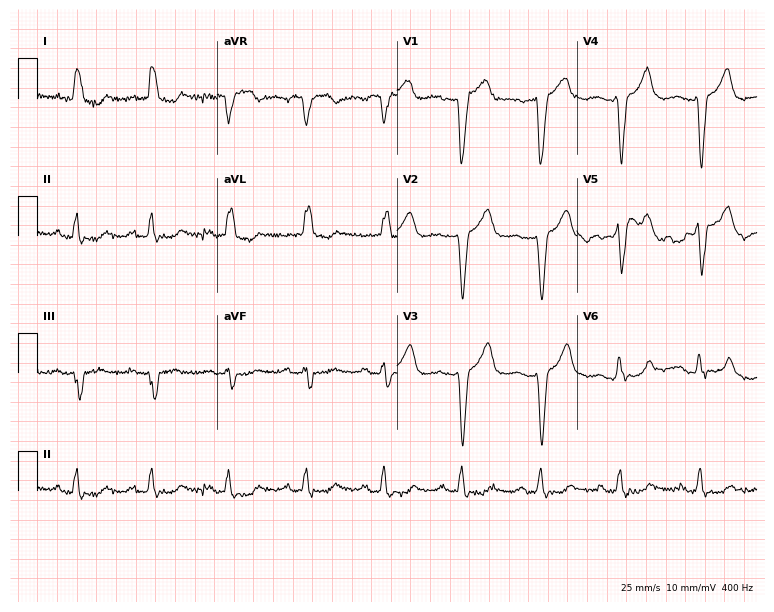
Resting 12-lead electrocardiogram. Patient: a female, 72 years old. The tracing shows left bundle branch block.